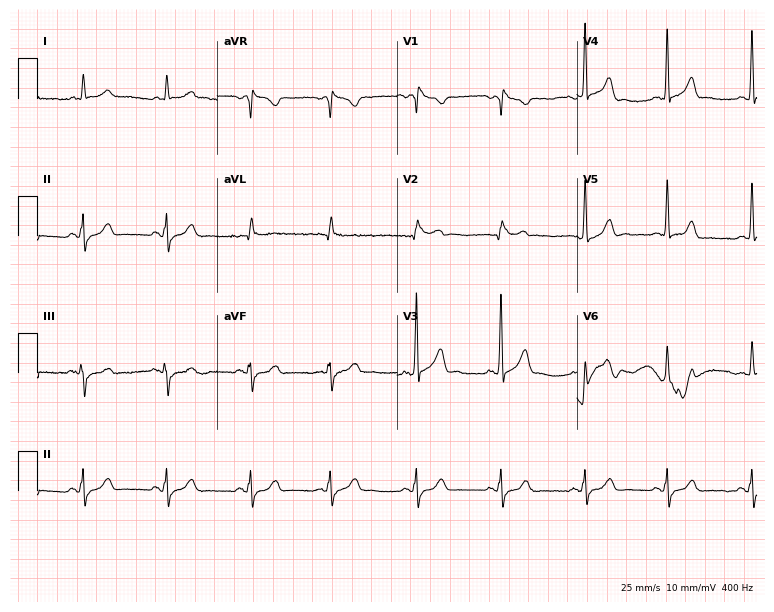
Electrocardiogram, a male patient, 75 years old. Of the six screened findings (first-degree AV block, right bundle branch block, left bundle branch block, sinus bradycardia, atrial fibrillation, sinus tachycardia), none is recorded.